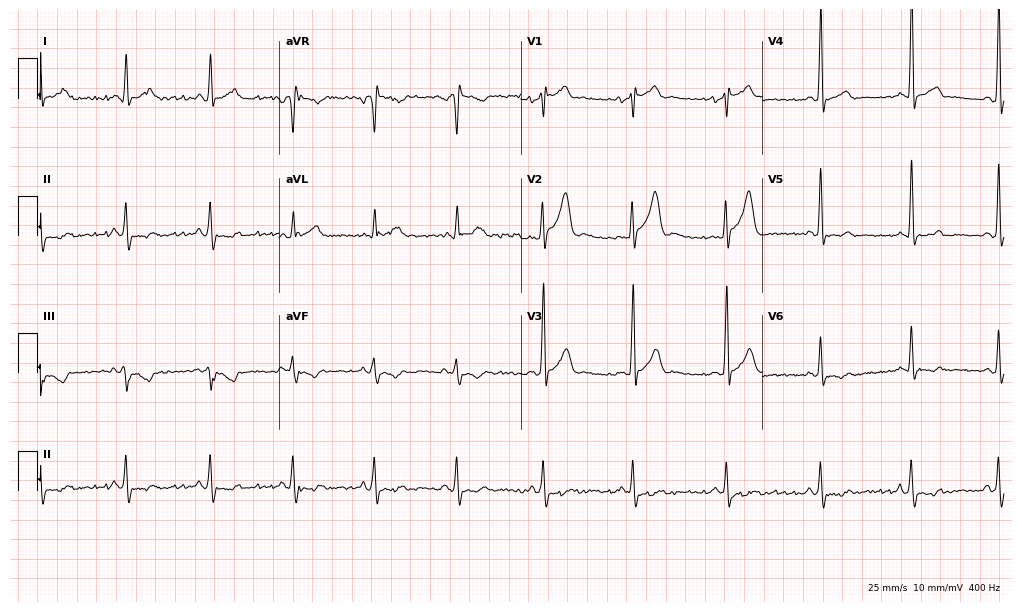
Standard 12-lead ECG recorded from a man, 28 years old. None of these six findings is recorded: first-degree AV block, right bundle branch block (RBBB), left bundle branch block (LBBB), sinus bradycardia, atrial fibrillation (AF), sinus tachycardia.